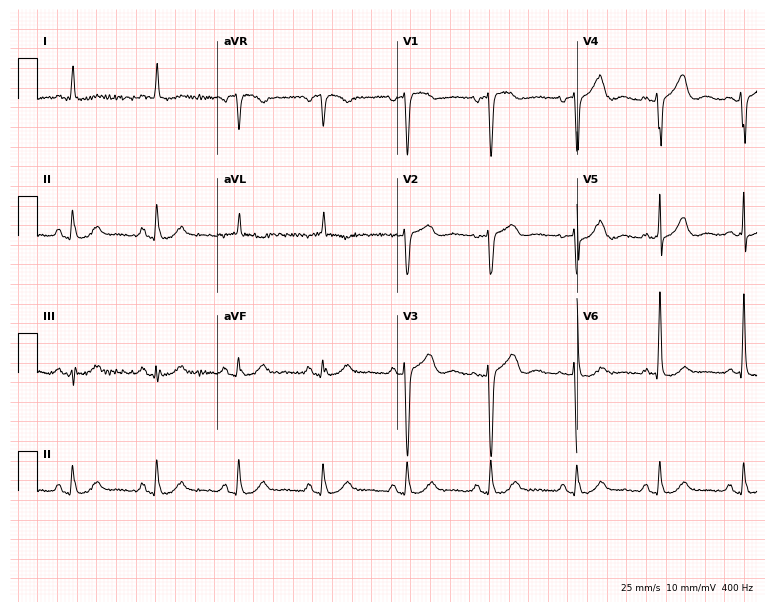
Electrocardiogram, a female patient, 77 years old. Of the six screened findings (first-degree AV block, right bundle branch block, left bundle branch block, sinus bradycardia, atrial fibrillation, sinus tachycardia), none is recorded. Other findings, if any, are not listed.